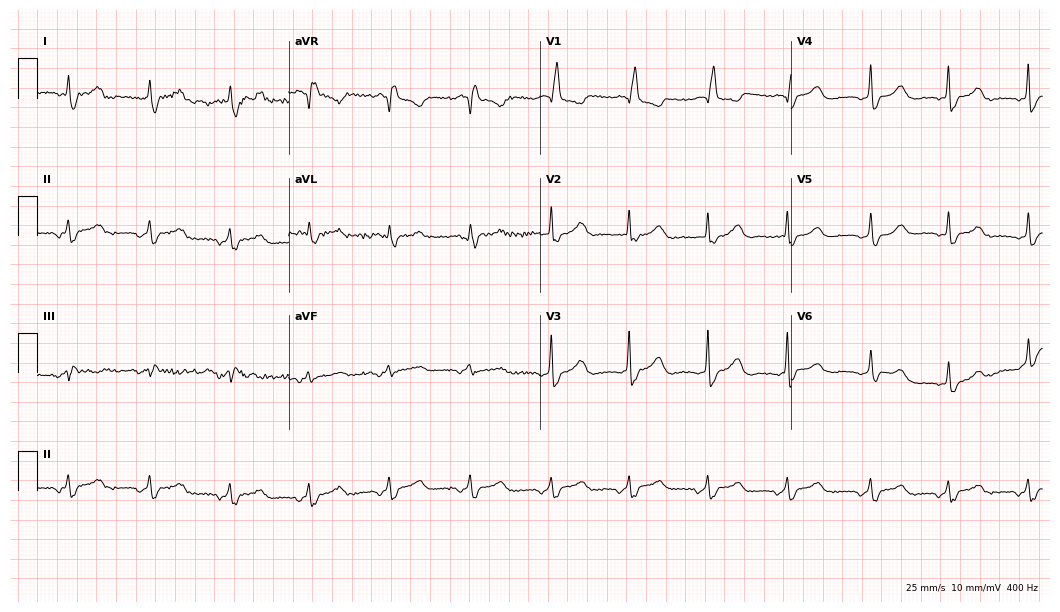
Resting 12-lead electrocardiogram (10.2-second recording at 400 Hz). Patient: a female, 69 years old. The tracing shows right bundle branch block (RBBB).